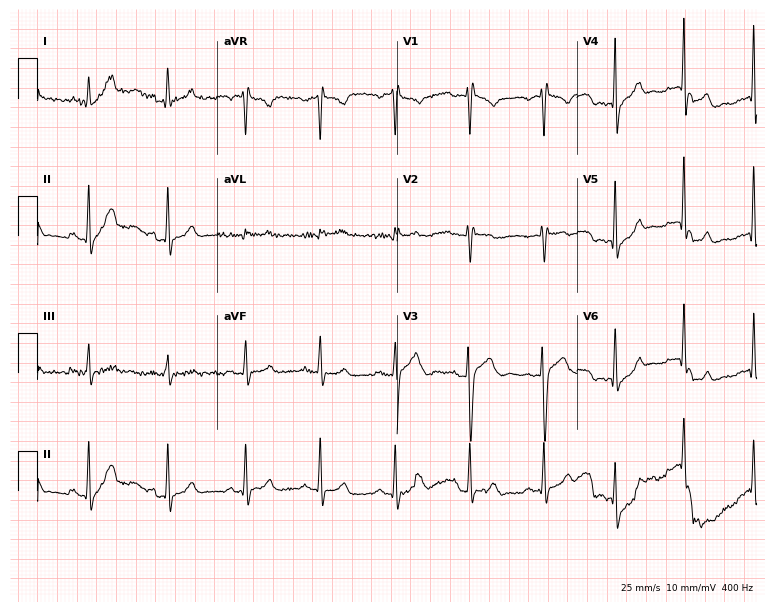
ECG (7.3-second recording at 400 Hz) — a man, 36 years old. Screened for six findings — first-degree AV block, right bundle branch block (RBBB), left bundle branch block (LBBB), sinus bradycardia, atrial fibrillation (AF), sinus tachycardia — none is recorded.